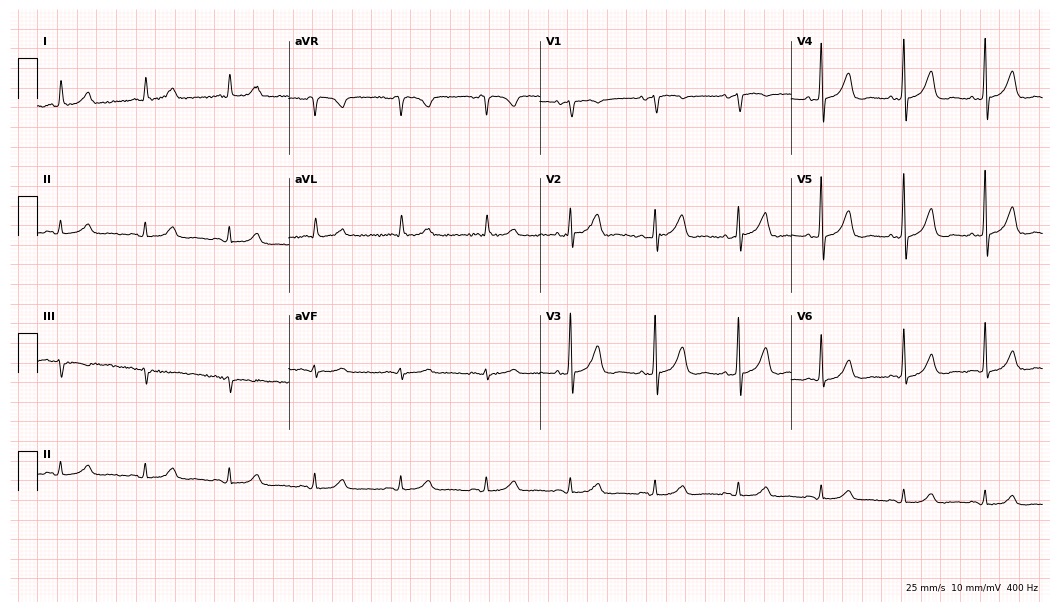
ECG — a female, 83 years old. Labelled as a normal ECG.